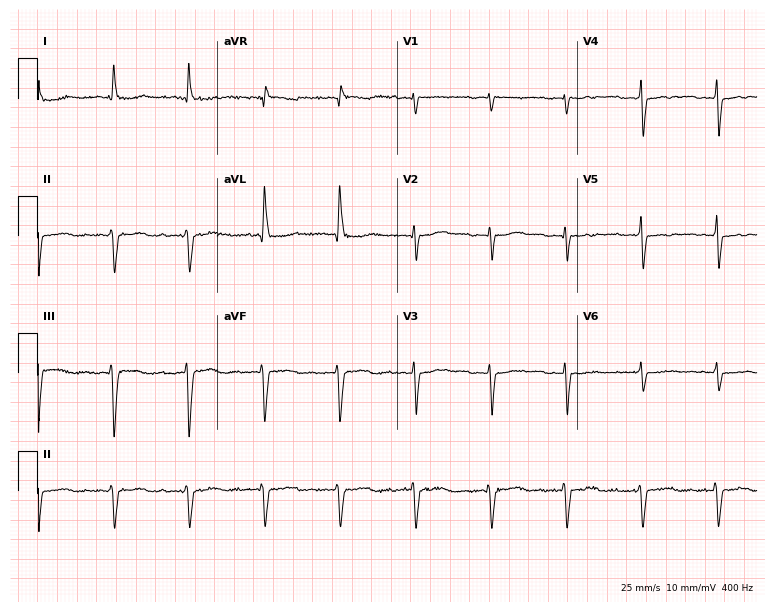
Electrocardiogram (7.3-second recording at 400 Hz), a male, 83 years old. Interpretation includes first-degree AV block.